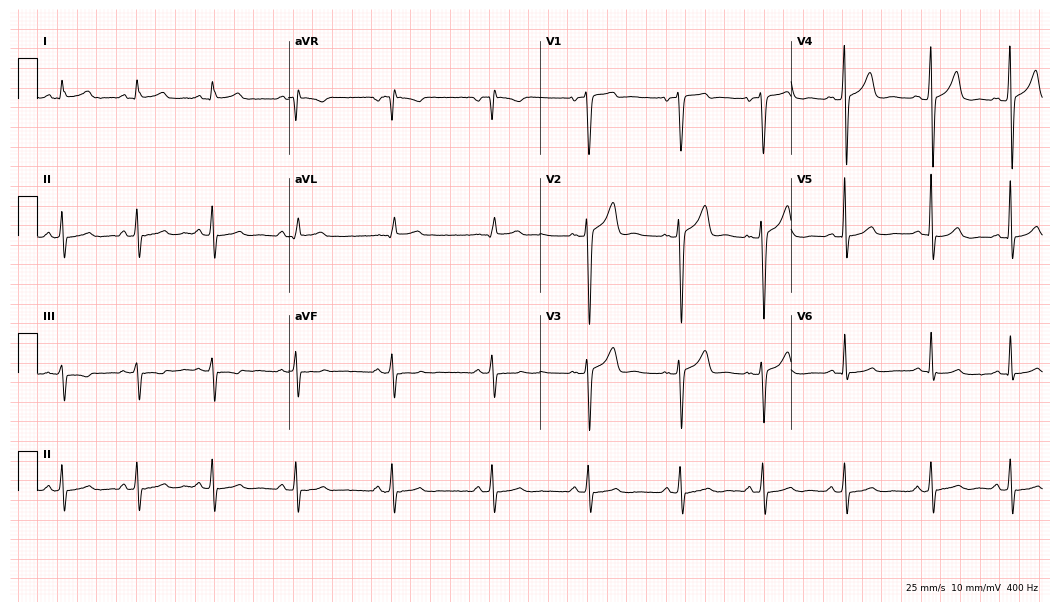
12-lead ECG from a male, 19 years old. Screened for six findings — first-degree AV block, right bundle branch block, left bundle branch block, sinus bradycardia, atrial fibrillation, sinus tachycardia — none is recorded. Findings outside these six are not listed.